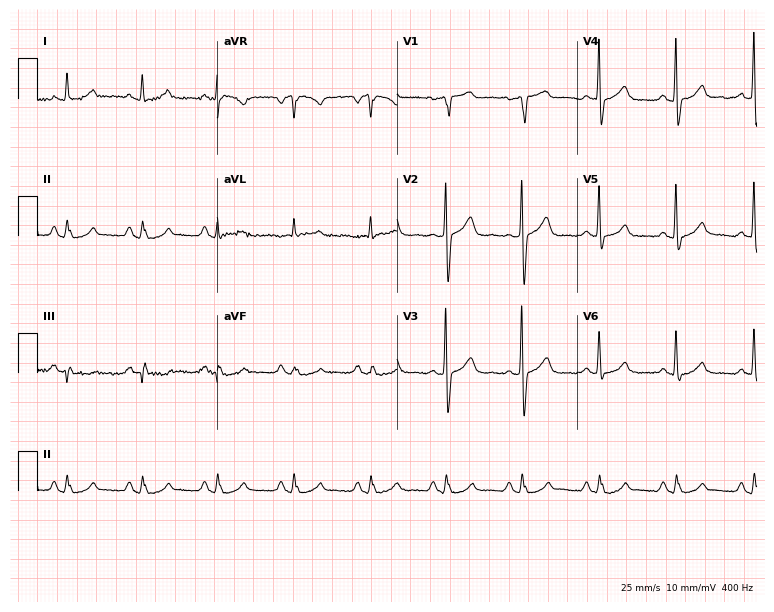
12-lead ECG from a 58-year-old male. Labelled as a normal ECG.